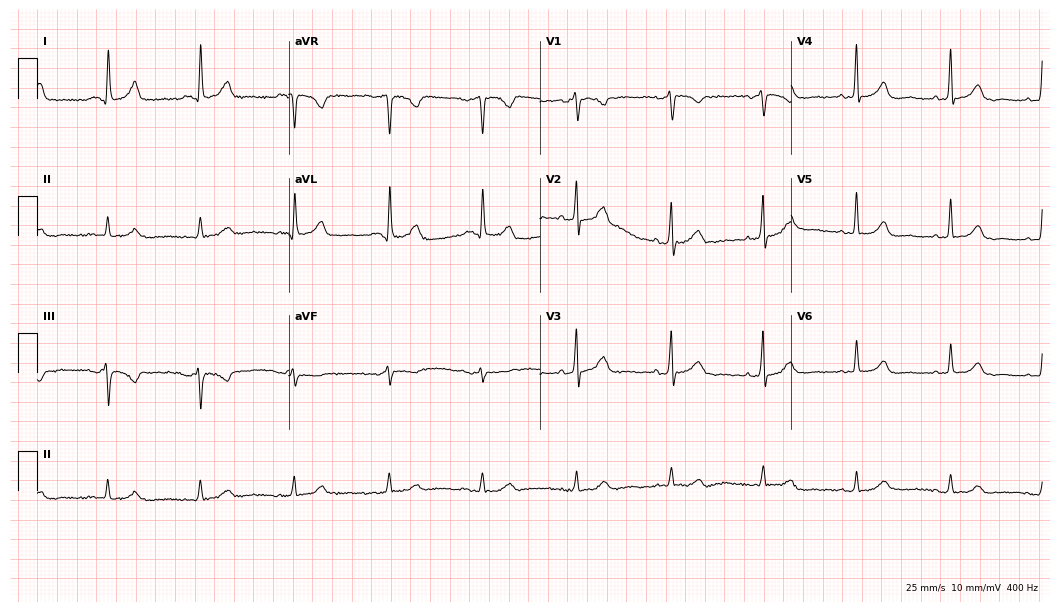
12-lead ECG from a 66-year-old female patient (10.2-second recording at 400 Hz). No first-degree AV block, right bundle branch block, left bundle branch block, sinus bradycardia, atrial fibrillation or sinus tachycardia recorded for this tracing. Other findings, if any, are not listed.